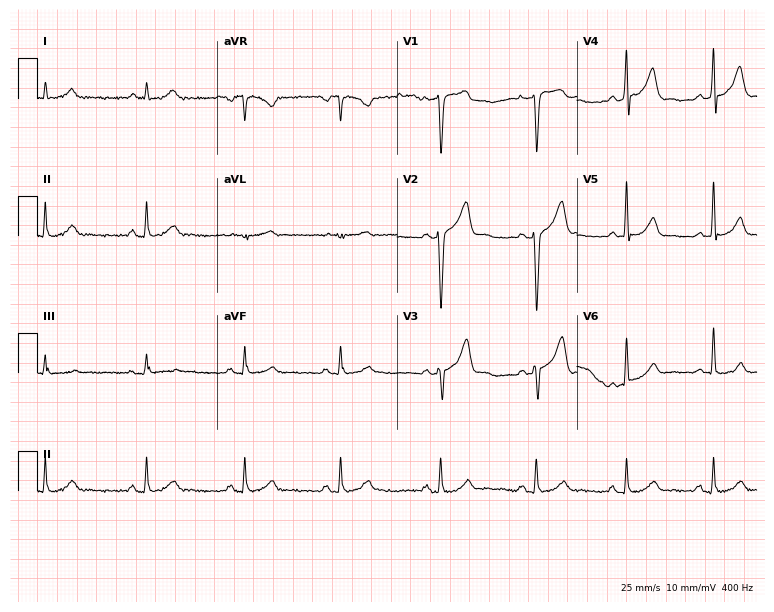
ECG — a man, 51 years old. Labelled as a normal ECG.